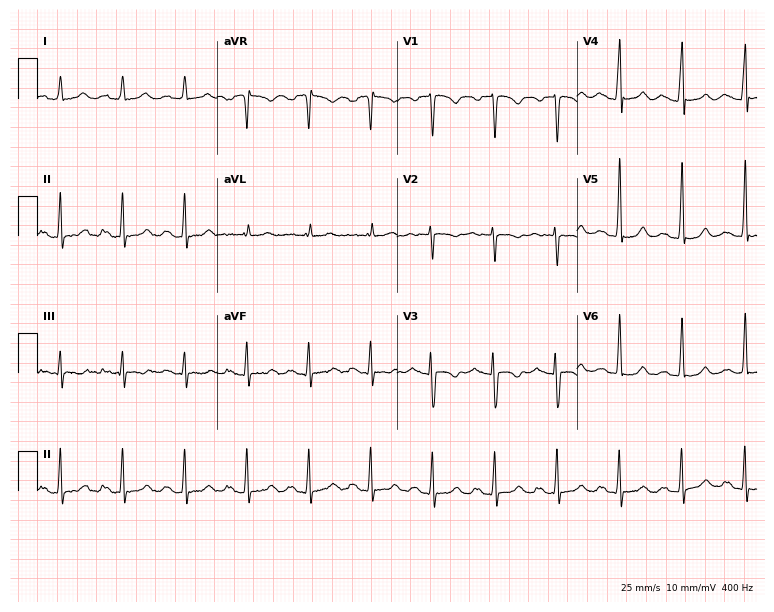
Electrocardiogram (7.3-second recording at 400 Hz), a 28-year-old female. Overall reading on record: normal ECG.